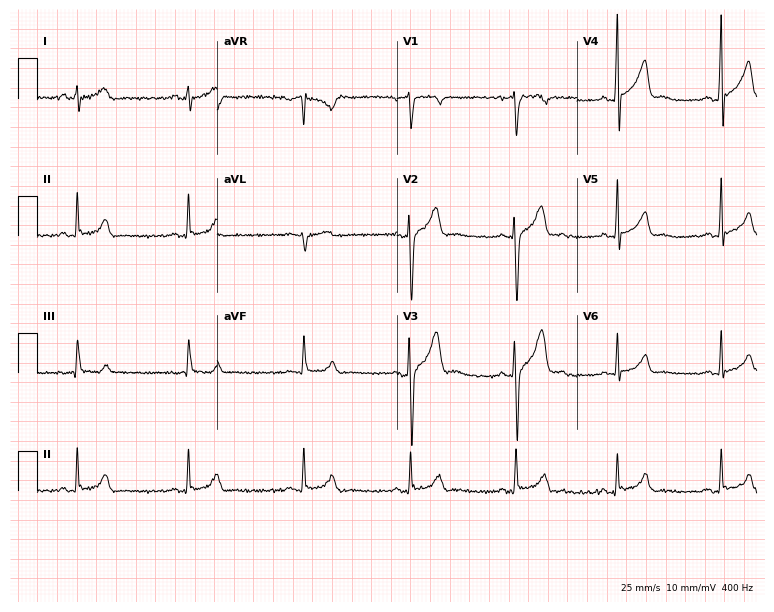
Resting 12-lead electrocardiogram (7.3-second recording at 400 Hz). Patient: a 21-year-old male. Read as a normal ECG.